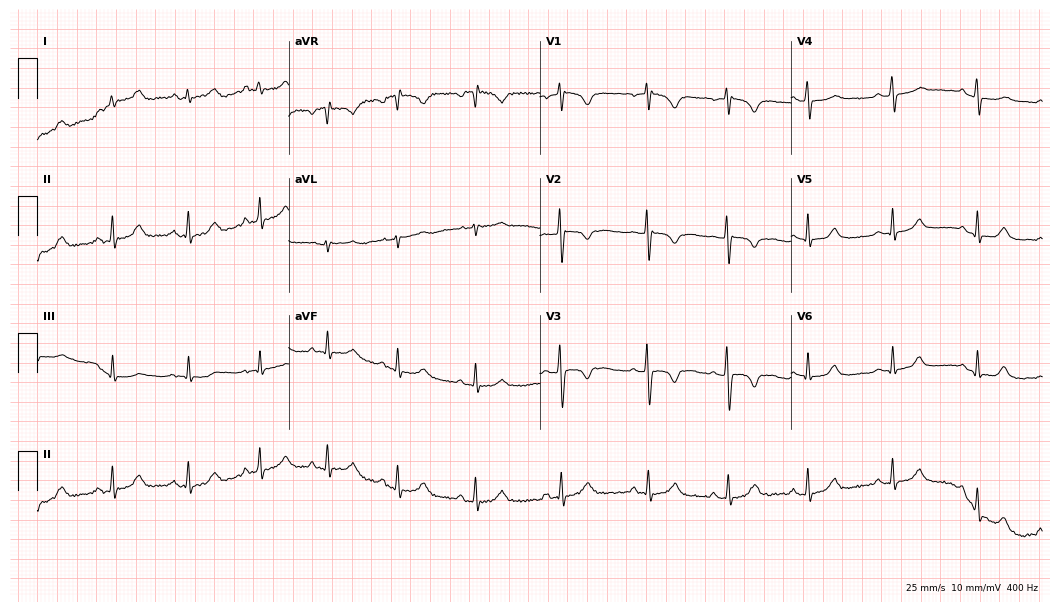
Standard 12-lead ECG recorded from a 26-year-old woman (10.2-second recording at 400 Hz). Read as a normal ECG.